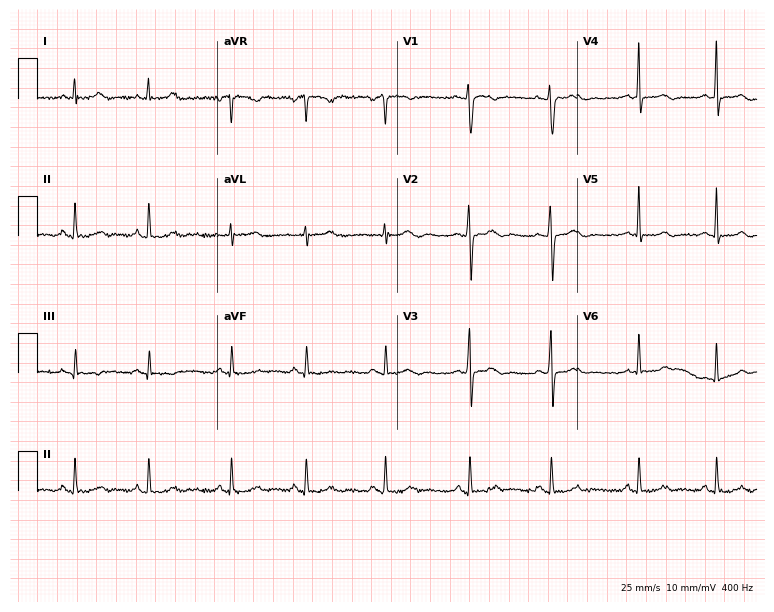
Resting 12-lead electrocardiogram. Patient: a 20-year-old woman. None of these six findings is recorded: first-degree AV block, right bundle branch block, left bundle branch block, sinus bradycardia, atrial fibrillation, sinus tachycardia. Other findings, if any, are not listed.